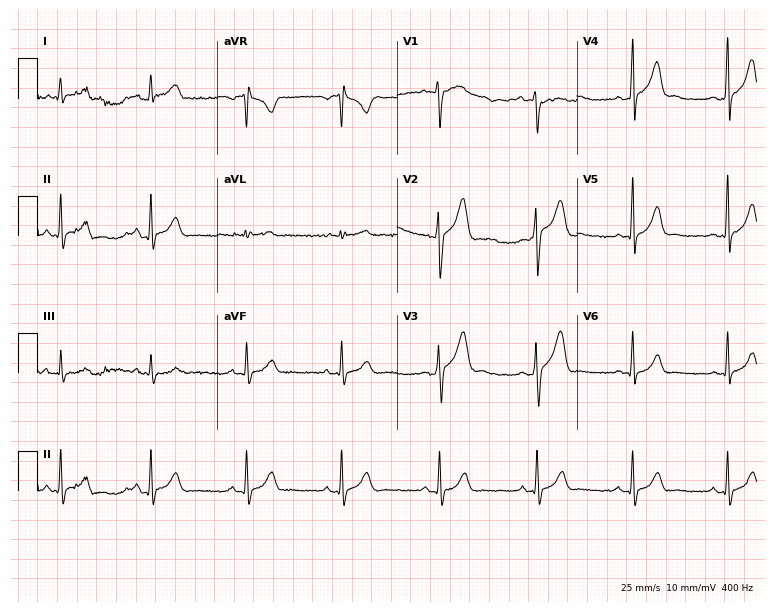
Resting 12-lead electrocardiogram. Patient: a 24-year-old man. Read as a normal ECG.